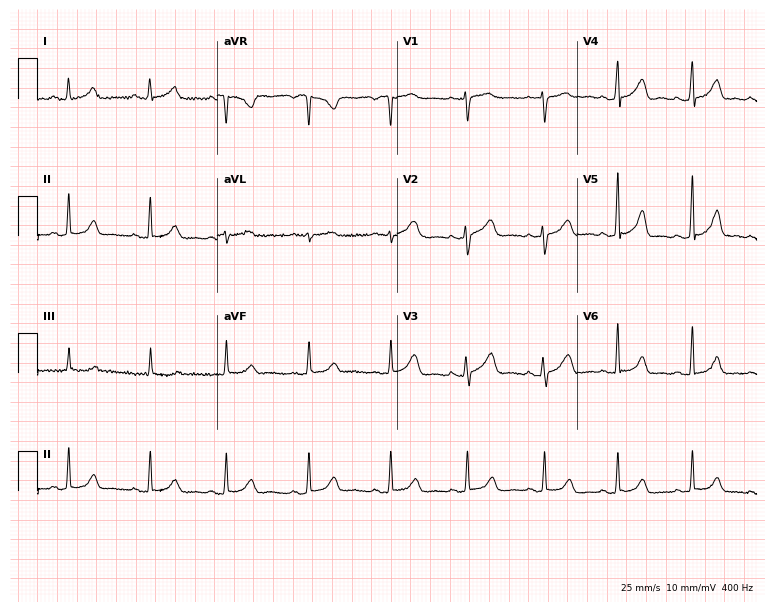
ECG — a 50-year-old female. Labelled as a normal ECG.